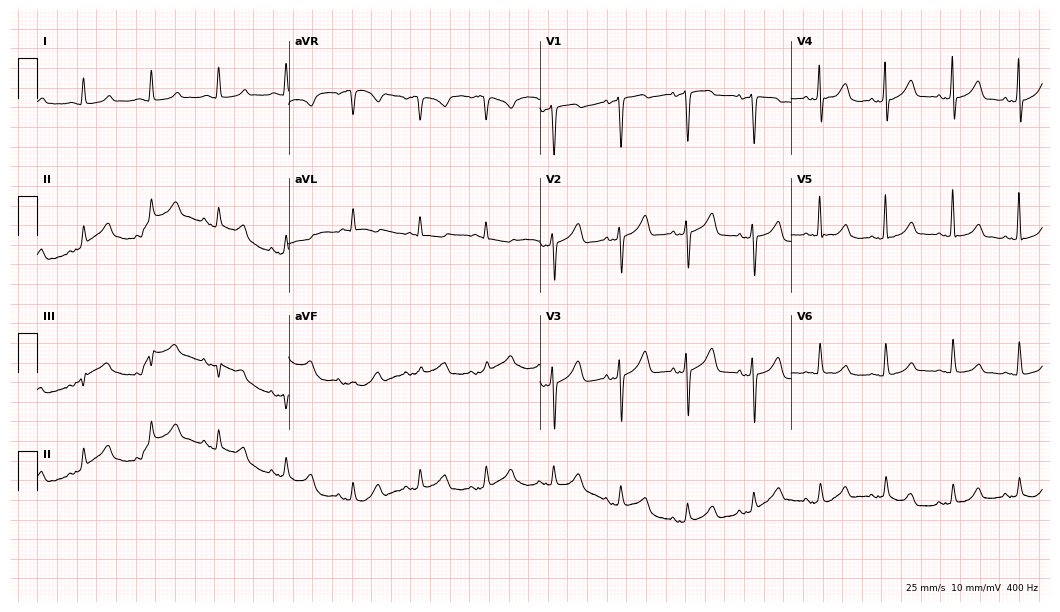
12-lead ECG (10.2-second recording at 400 Hz) from a woman, 71 years old. Screened for six findings — first-degree AV block, right bundle branch block, left bundle branch block, sinus bradycardia, atrial fibrillation, sinus tachycardia — none is recorded.